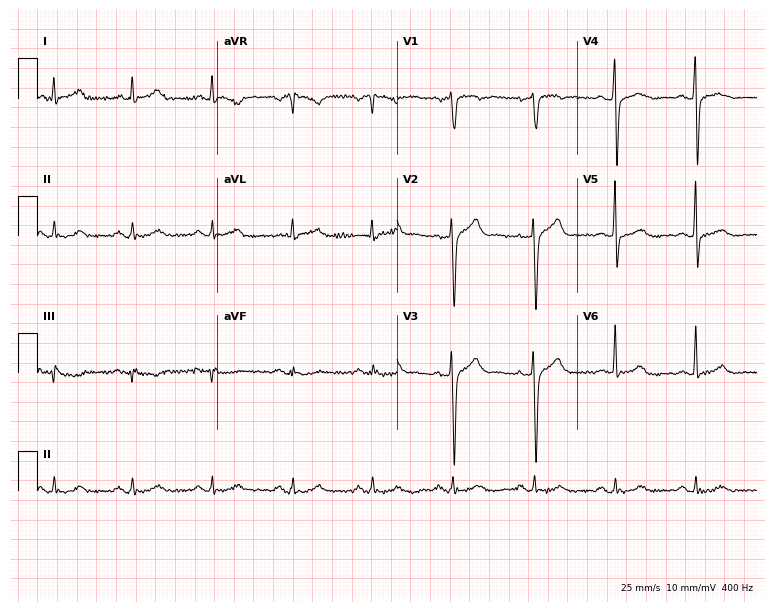
12-lead ECG from a male, 57 years old. No first-degree AV block, right bundle branch block, left bundle branch block, sinus bradycardia, atrial fibrillation or sinus tachycardia recorded for this tracing.